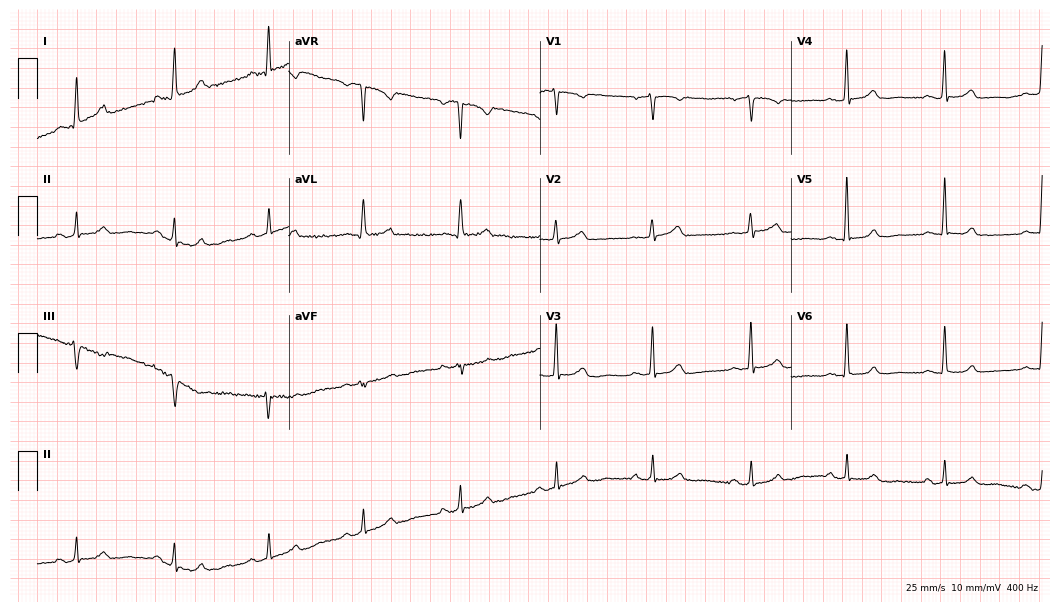
Standard 12-lead ECG recorded from a 51-year-old woman (10.2-second recording at 400 Hz). Read as a normal ECG.